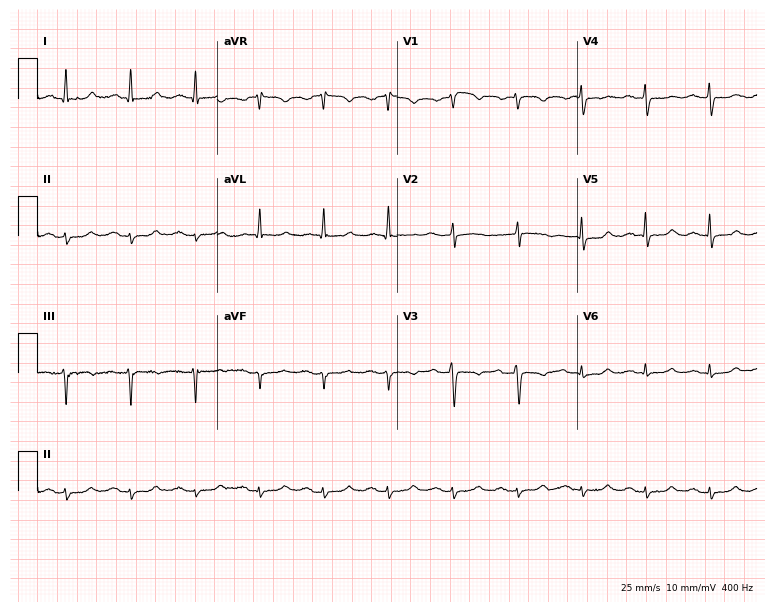
Standard 12-lead ECG recorded from a woman, 62 years old. None of these six findings is recorded: first-degree AV block, right bundle branch block (RBBB), left bundle branch block (LBBB), sinus bradycardia, atrial fibrillation (AF), sinus tachycardia.